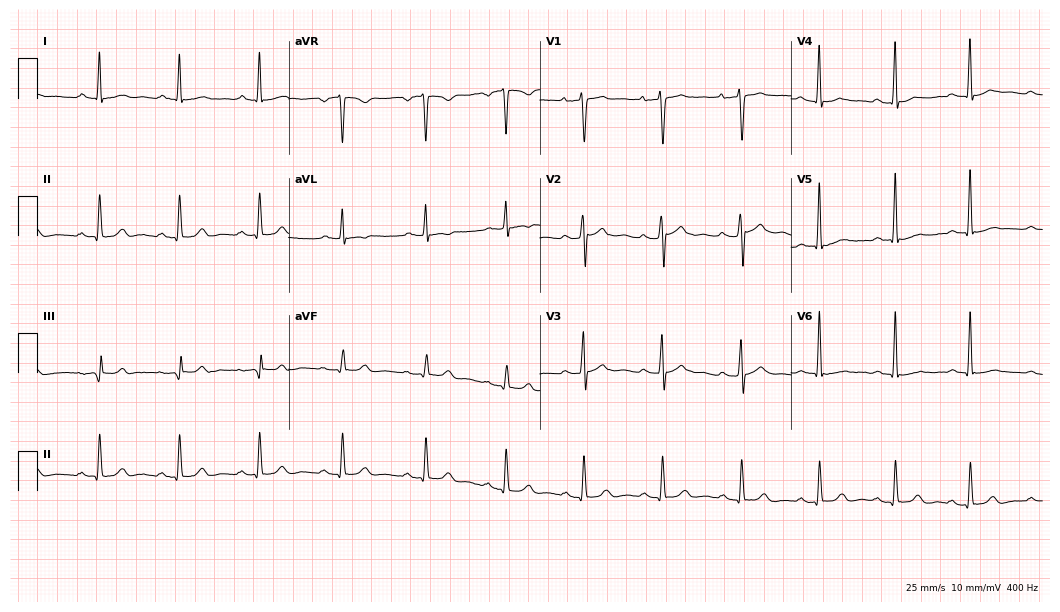
ECG (10.2-second recording at 400 Hz) — a man, 32 years old. Screened for six findings — first-degree AV block, right bundle branch block, left bundle branch block, sinus bradycardia, atrial fibrillation, sinus tachycardia — none is recorded.